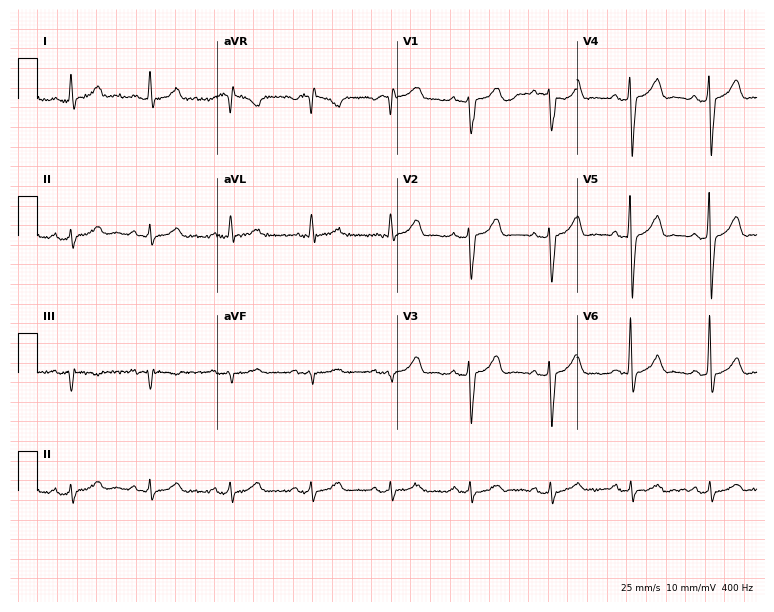
12-lead ECG from a male, 61 years old. Labelled as a normal ECG.